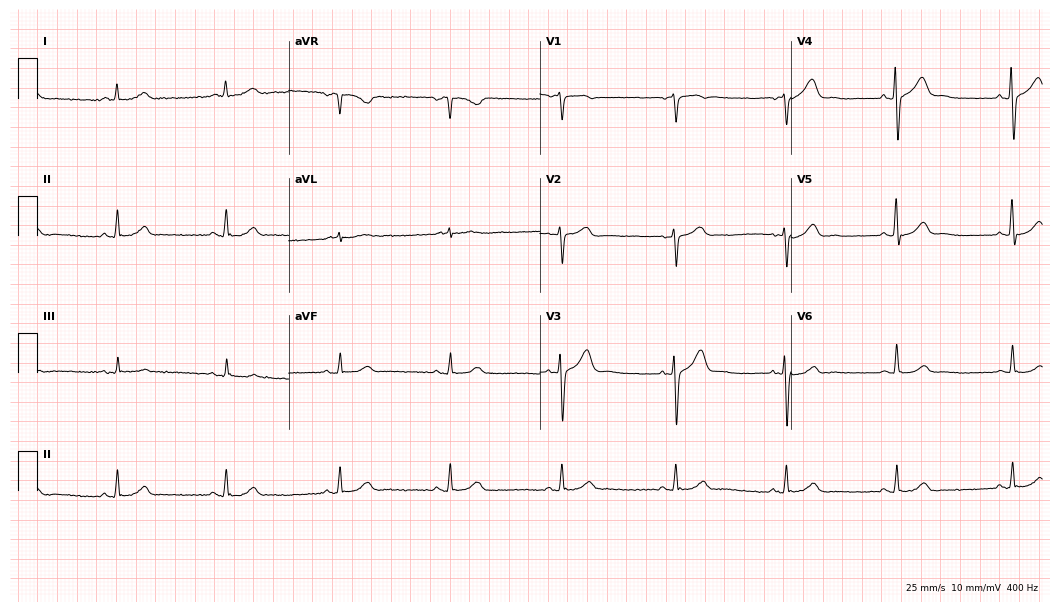
12-lead ECG (10.2-second recording at 400 Hz) from a male, 68 years old. Labelled as a normal ECG.